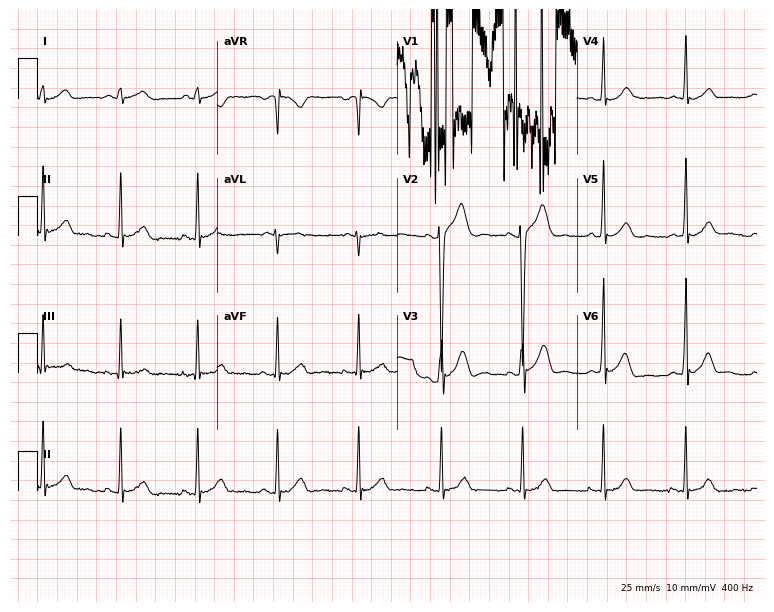
12-lead ECG from a 33-year-old male patient (7.3-second recording at 400 Hz). No first-degree AV block, right bundle branch block, left bundle branch block, sinus bradycardia, atrial fibrillation or sinus tachycardia recorded for this tracing.